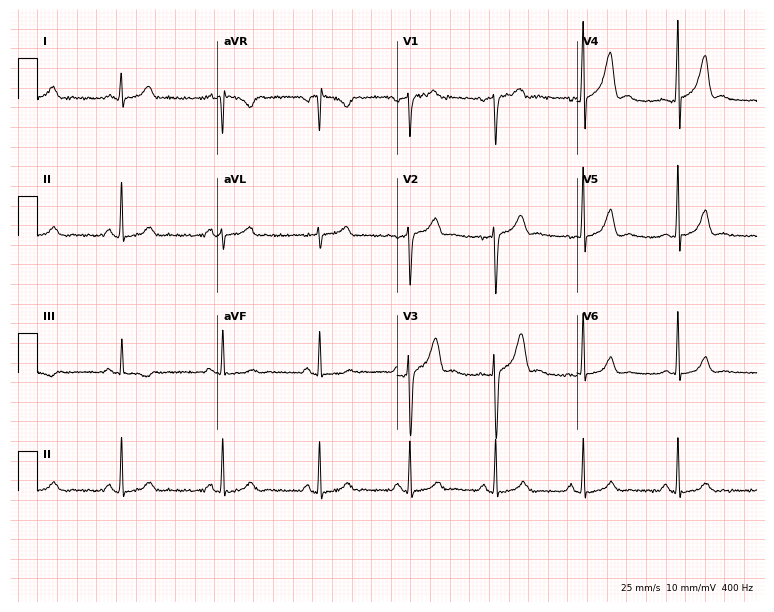
ECG — a male, 42 years old. Labelled as a normal ECG.